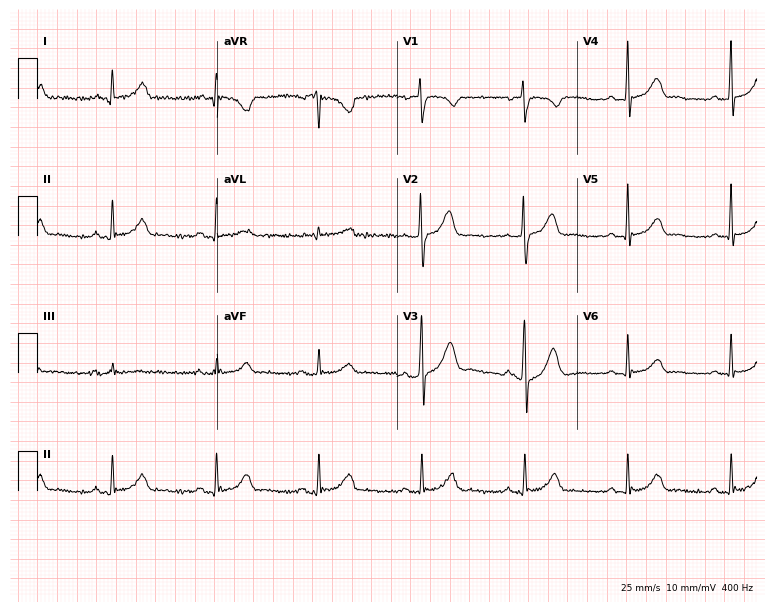
ECG — a 69-year-old man. Labelled as a normal ECG.